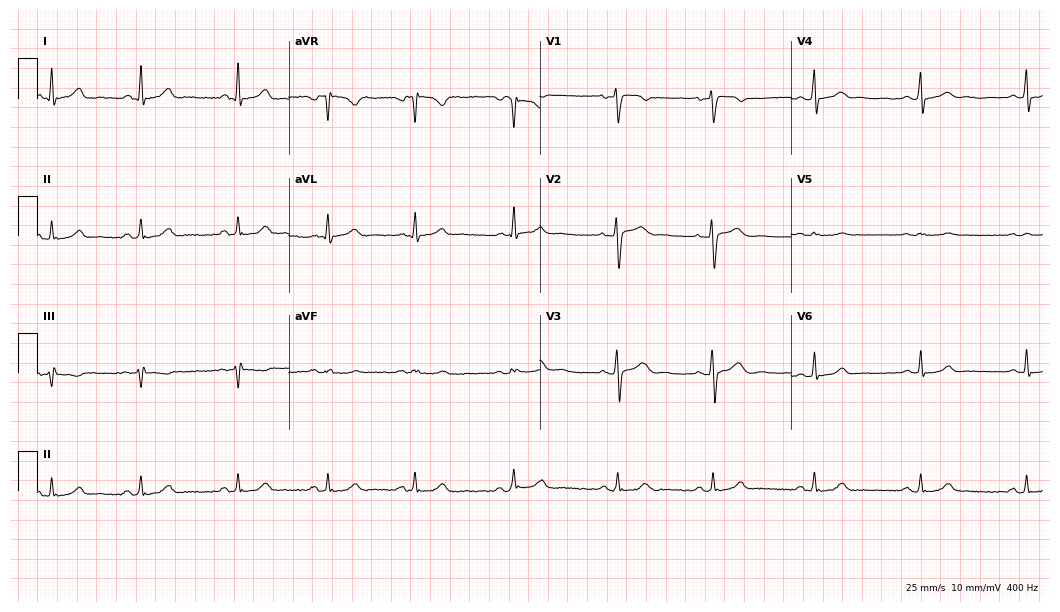
ECG (10.2-second recording at 400 Hz) — a female patient, 31 years old. Labelled as a normal ECG.